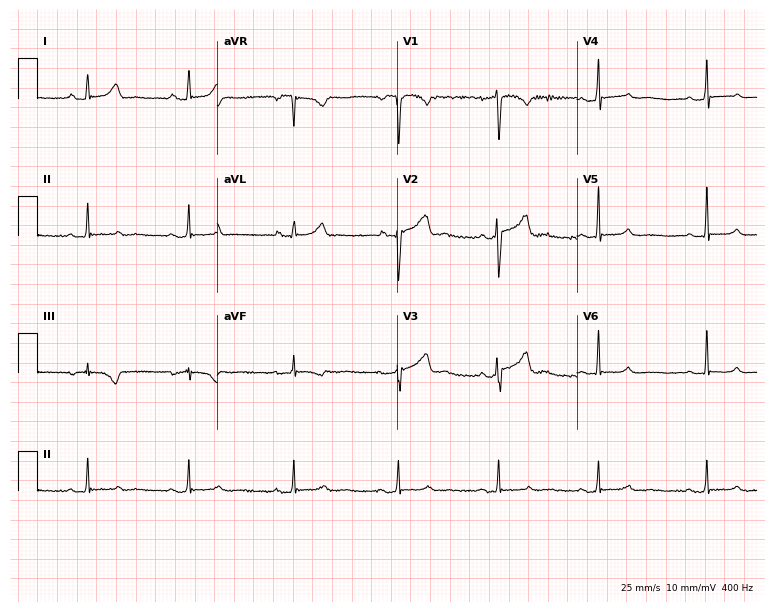
Electrocardiogram, a 31-year-old woman. Overall reading on record: normal ECG.